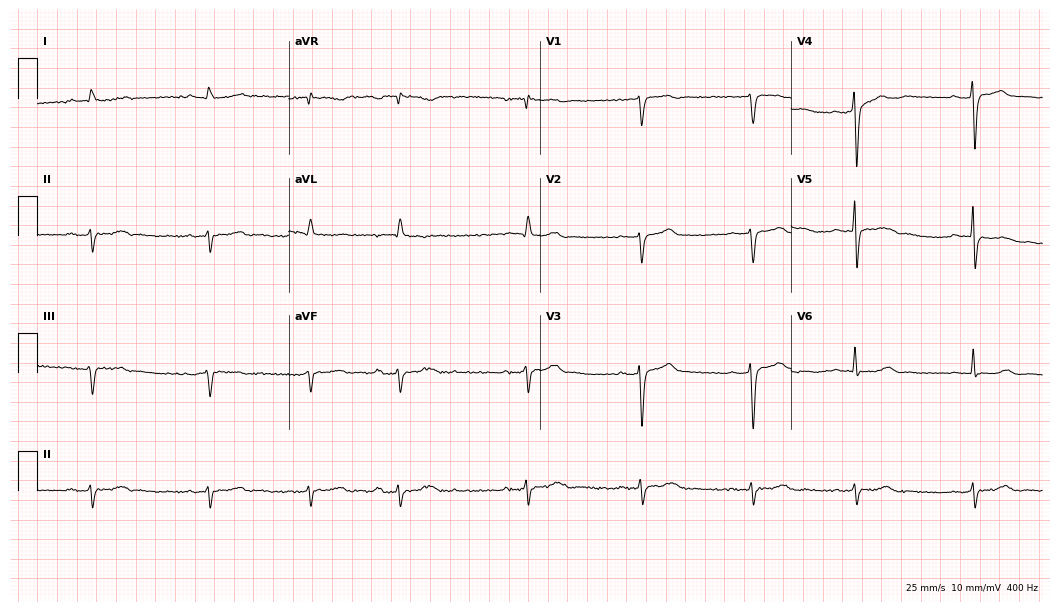
12-lead ECG from a 77-year-old male patient (10.2-second recording at 400 Hz). No first-degree AV block, right bundle branch block, left bundle branch block, sinus bradycardia, atrial fibrillation or sinus tachycardia recorded for this tracing. Only these six findings were labelled.